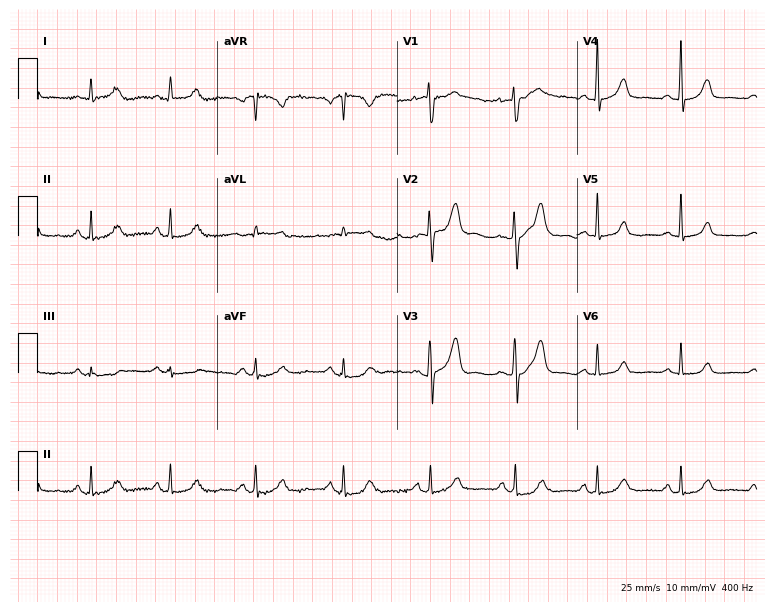
12-lead ECG from a female, 37 years old (7.3-second recording at 400 Hz). Recorded interpretation: within normal limits.